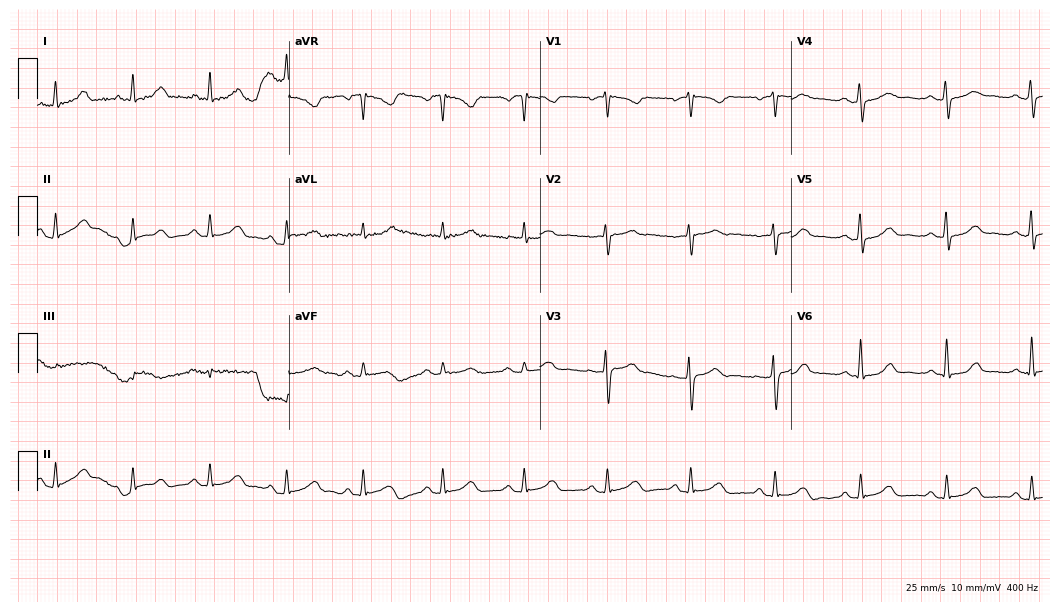
Resting 12-lead electrocardiogram. Patient: a woman, 63 years old. Read as a normal ECG.